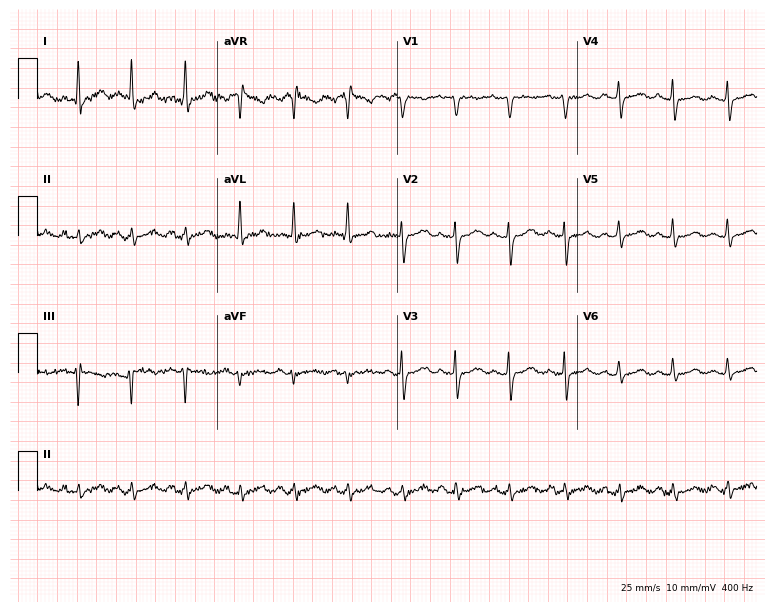
12-lead ECG from a female patient, 34 years old. Findings include sinus tachycardia (a sinus rate of 100 beats per minute or more).